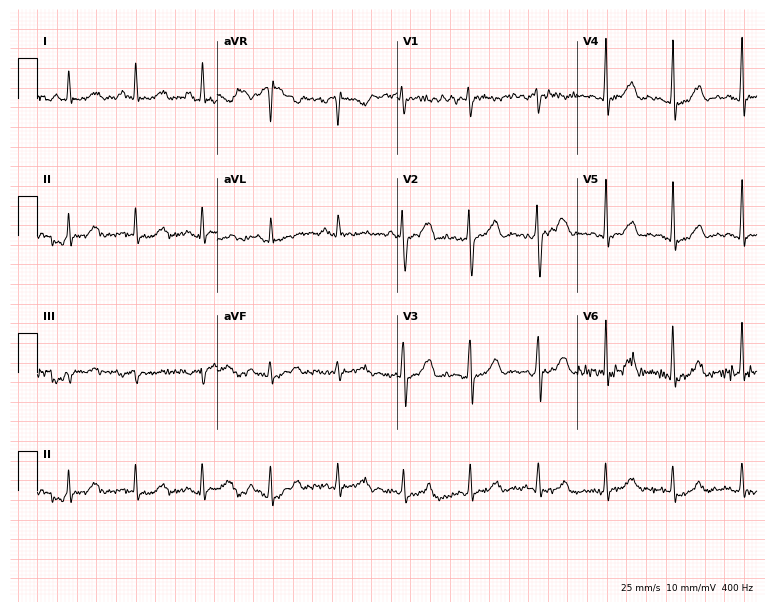
12-lead ECG from a 33-year-old female patient (7.3-second recording at 400 Hz). Recorded interpretation: within normal limits.